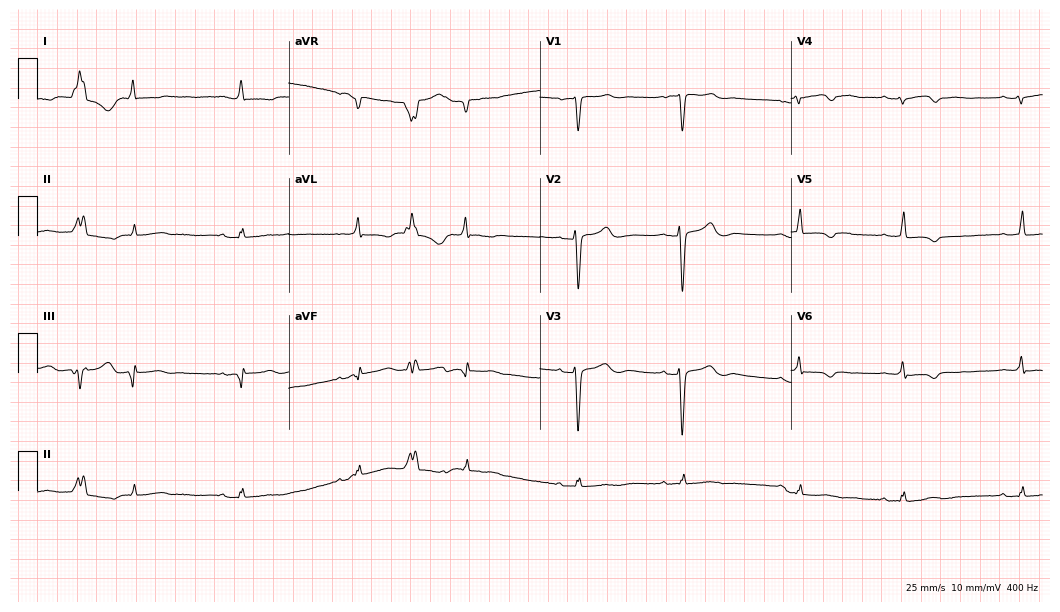
12-lead ECG from a female, 81 years old. Screened for six findings — first-degree AV block, right bundle branch block, left bundle branch block, sinus bradycardia, atrial fibrillation, sinus tachycardia — none is recorded. Other findings, if any, are not listed.